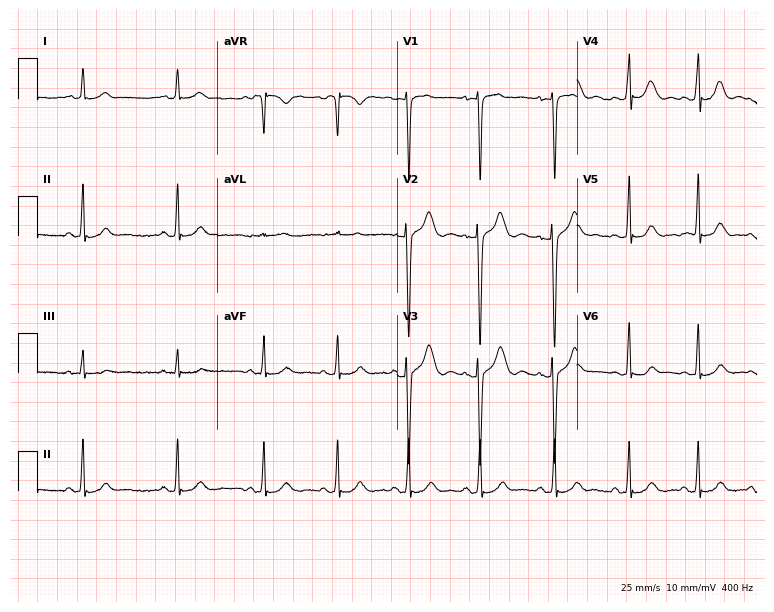
Resting 12-lead electrocardiogram. Patient: a female, 26 years old. Read as a normal ECG.